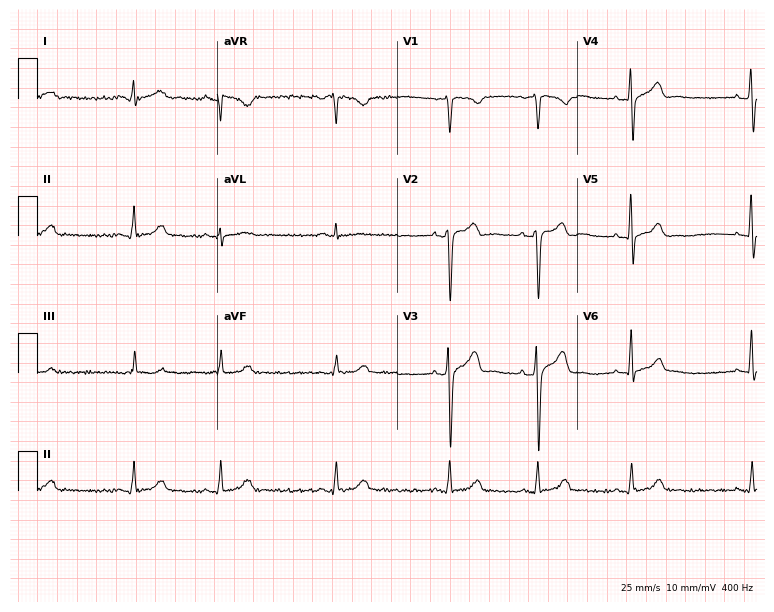
ECG (7.3-second recording at 400 Hz) — a 29-year-old male patient. Labelled as a normal ECG.